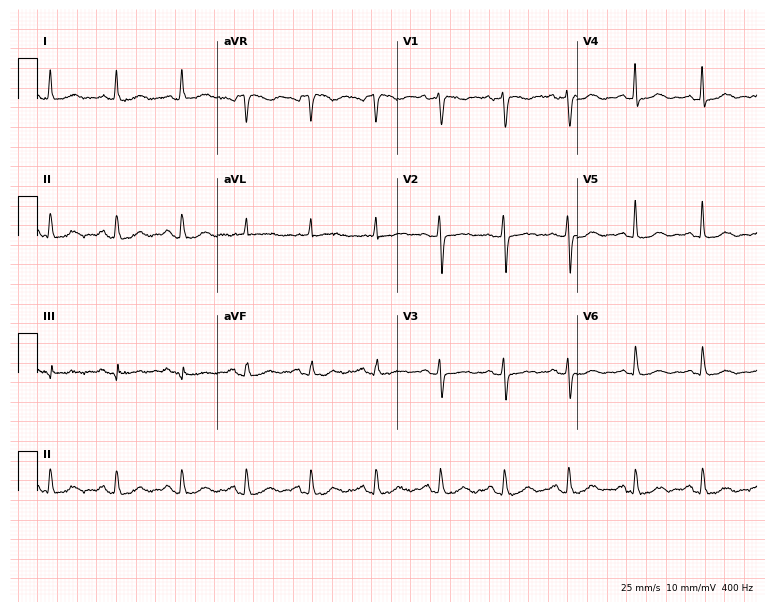
ECG (7.3-second recording at 400 Hz) — a female, 63 years old. Screened for six findings — first-degree AV block, right bundle branch block, left bundle branch block, sinus bradycardia, atrial fibrillation, sinus tachycardia — none is recorded. Only these six findings were labelled.